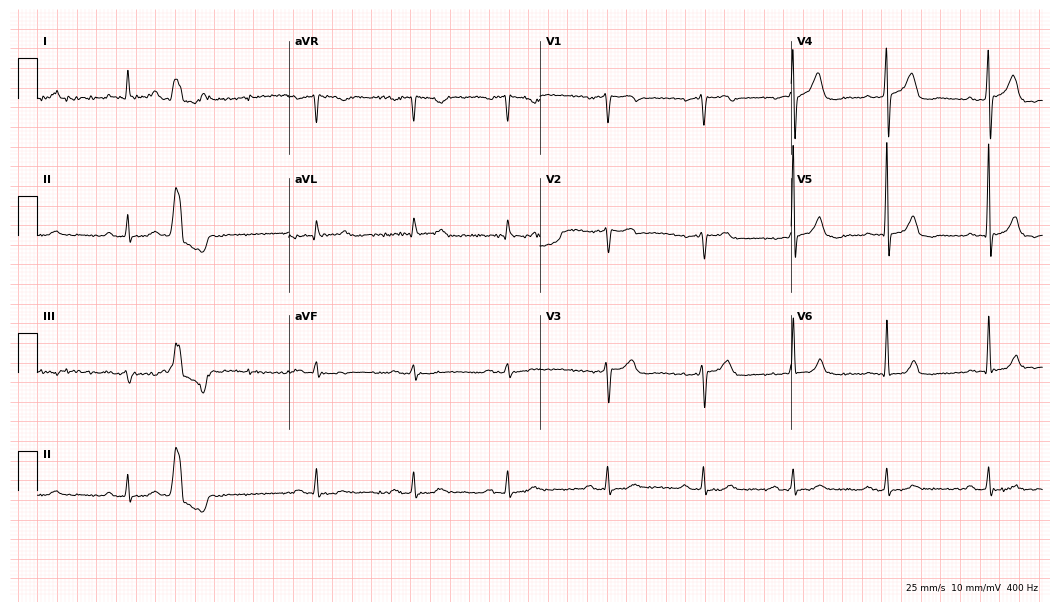
Standard 12-lead ECG recorded from a 79-year-old male (10.2-second recording at 400 Hz). Read as a normal ECG.